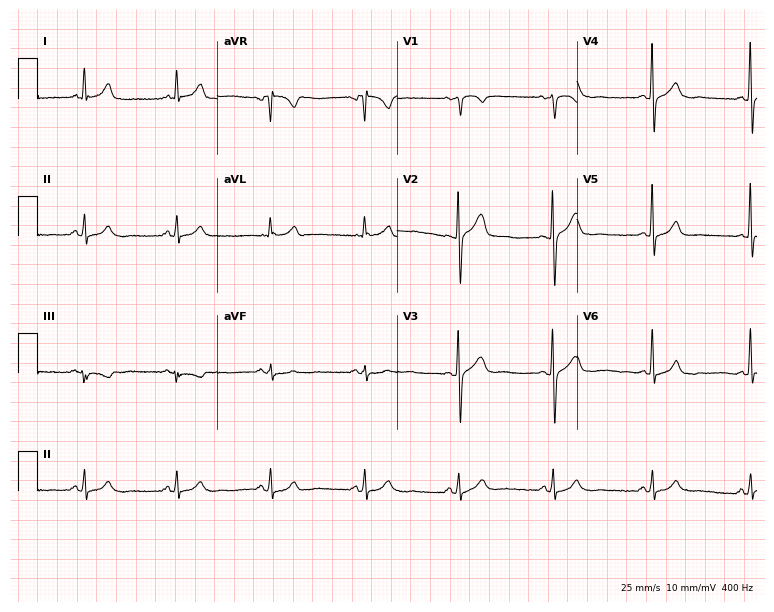
Resting 12-lead electrocardiogram (7.3-second recording at 400 Hz). Patient: a 56-year-old woman. None of these six findings is recorded: first-degree AV block, right bundle branch block, left bundle branch block, sinus bradycardia, atrial fibrillation, sinus tachycardia. Only these six findings were labelled.